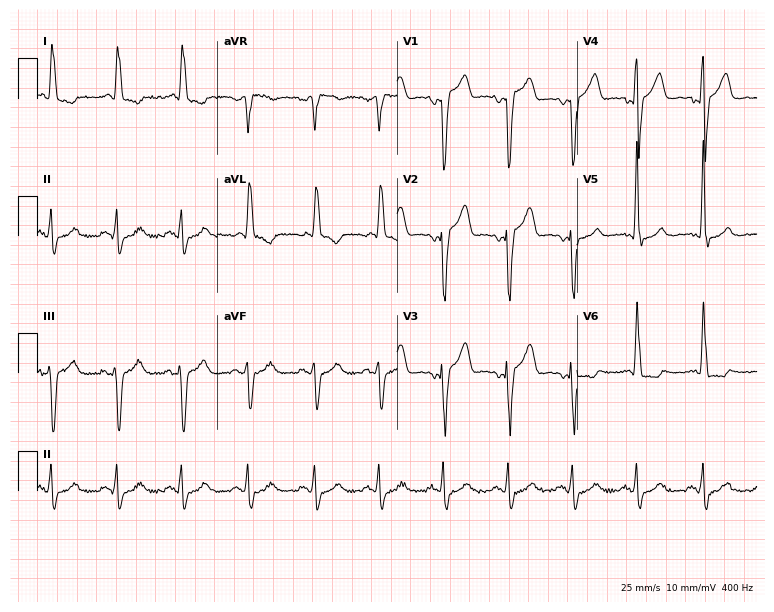
12-lead ECG from a male, 64 years old (7.3-second recording at 400 Hz). No first-degree AV block, right bundle branch block, left bundle branch block, sinus bradycardia, atrial fibrillation or sinus tachycardia recorded for this tracing.